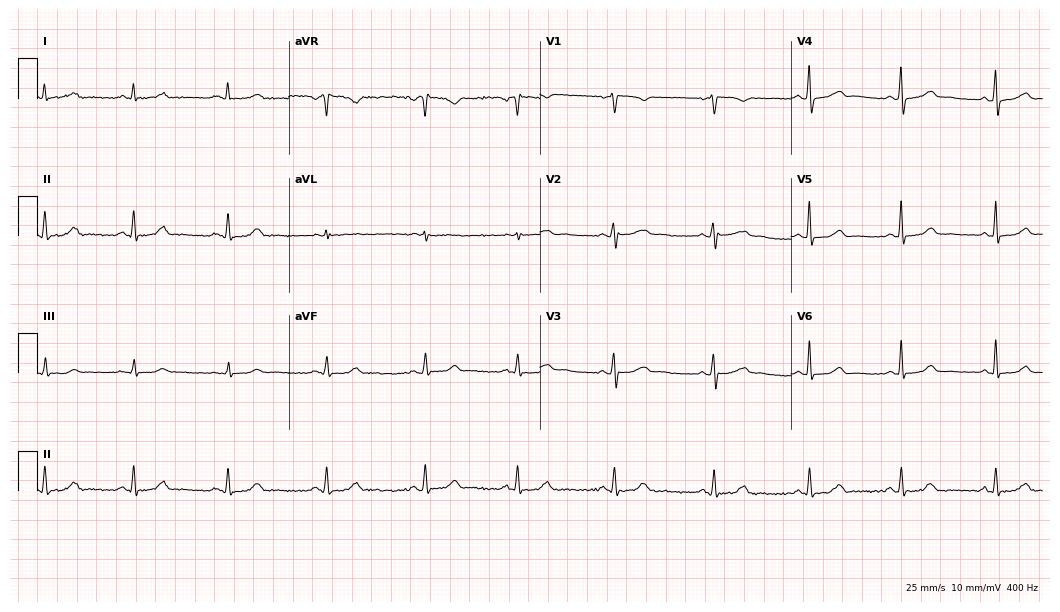
Resting 12-lead electrocardiogram. Patient: a 44-year-old woman. Read as a normal ECG.